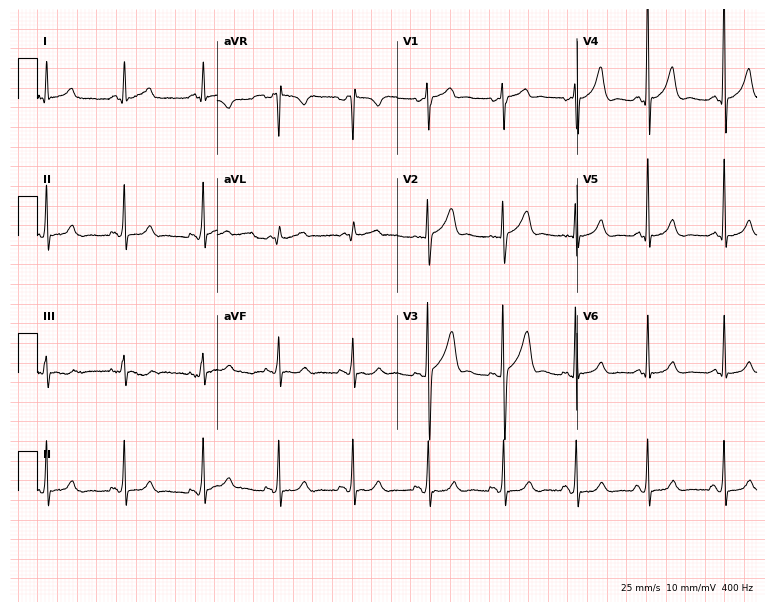
12-lead ECG (7.3-second recording at 400 Hz) from a 39-year-old male patient. Screened for six findings — first-degree AV block, right bundle branch block, left bundle branch block, sinus bradycardia, atrial fibrillation, sinus tachycardia — none is recorded. Other findings, if any, are not listed.